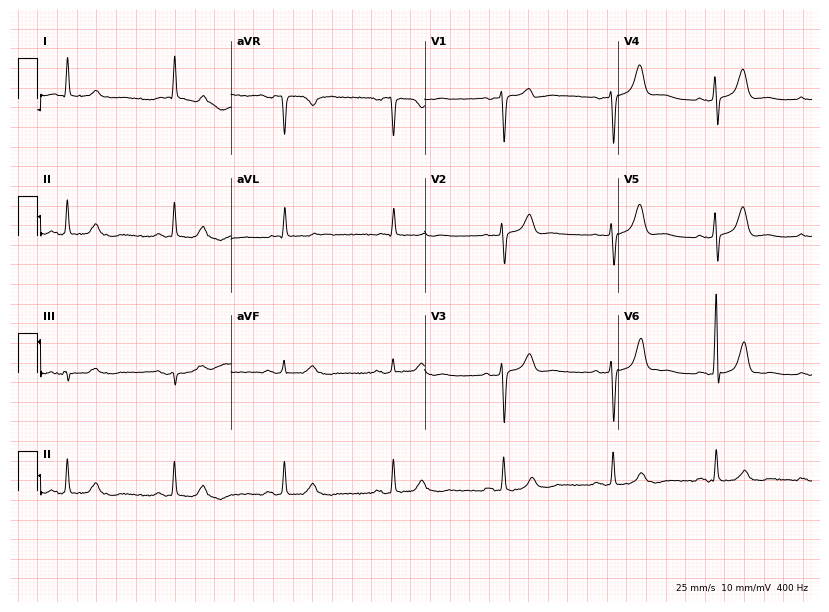
12-lead ECG from a male, 78 years old. Labelled as a normal ECG.